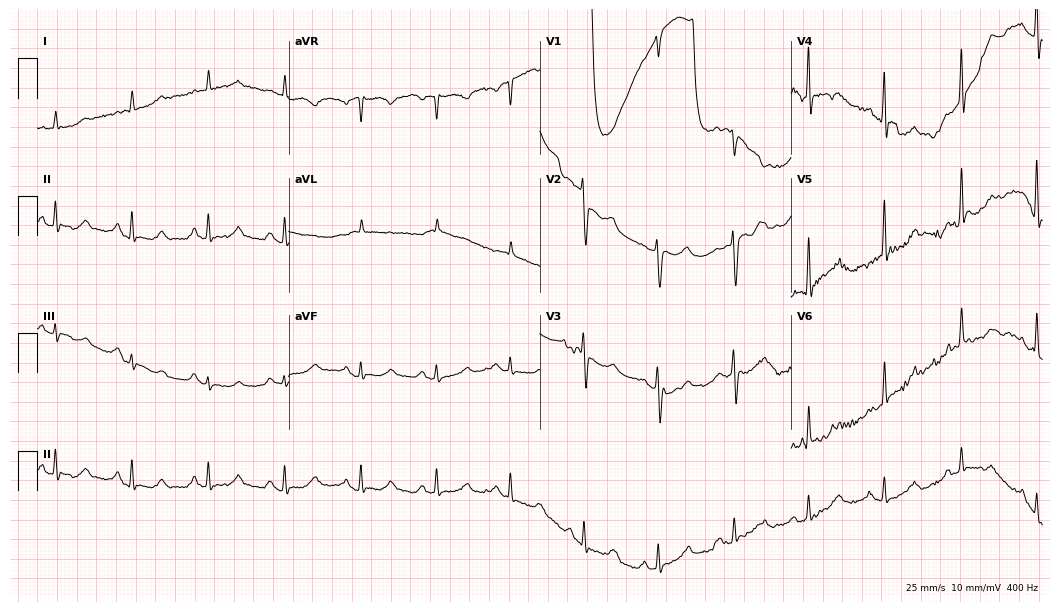
Standard 12-lead ECG recorded from a man, 82 years old (10.2-second recording at 400 Hz). Read as a normal ECG.